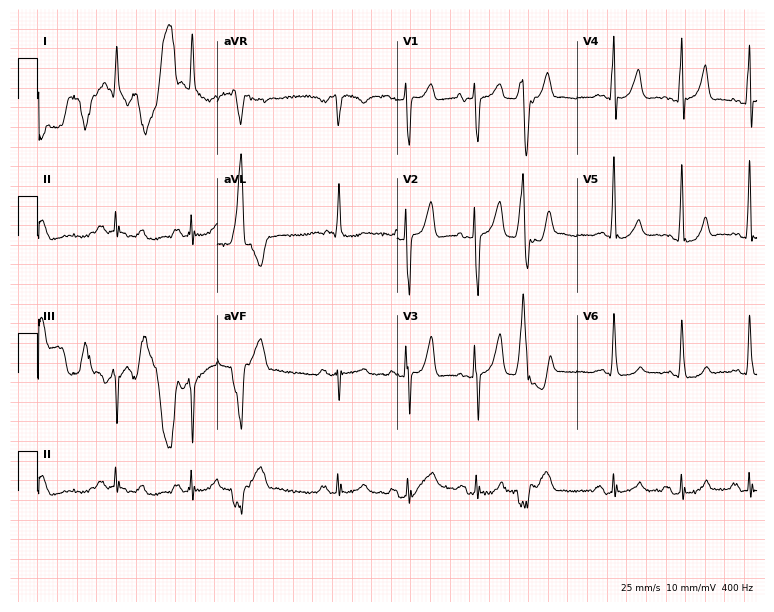
ECG — a 60-year-old male. Labelled as a normal ECG.